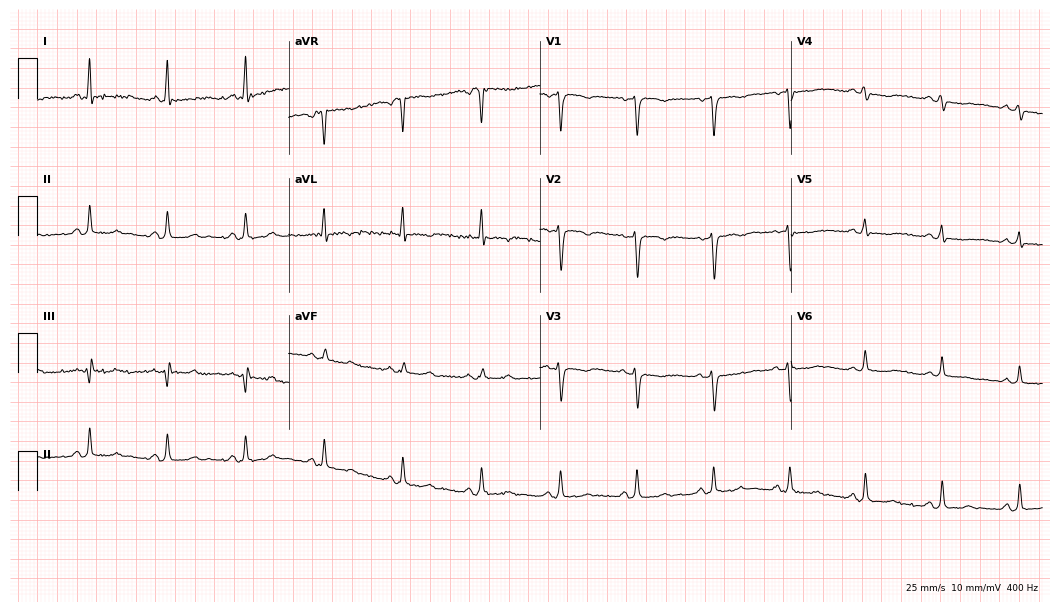
Resting 12-lead electrocardiogram (10.2-second recording at 400 Hz). Patient: a female, 52 years old. None of these six findings is recorded: first-degree AV block, right bundle branch block, left bundle branch block, sinus bradycardia, atrial fibrillation, sinus tachycardia. Findings outside these six are not listed.